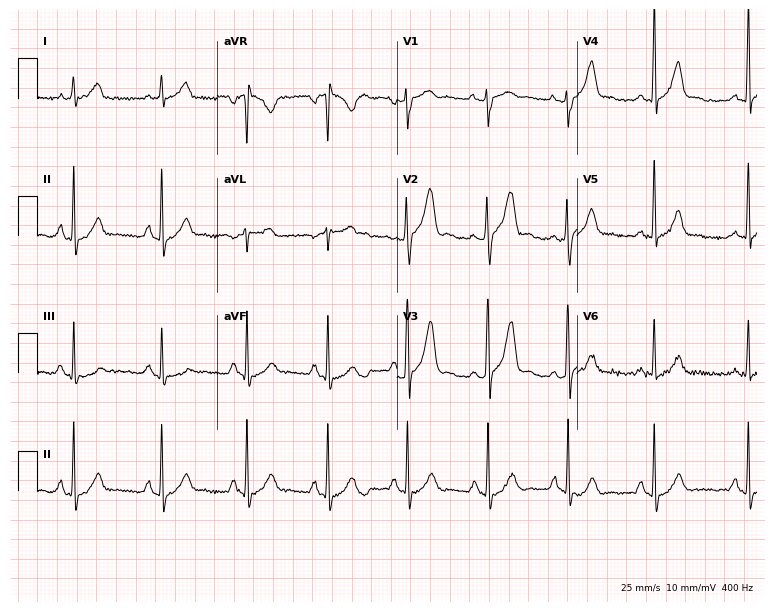
Standard 12-lead ECG recorded from a 32-year-old male patient. None of these six findings is recorded: first-degree AV block, right bundle branch block, left bundle branch block, sinus bradycardia, atrial fibrillation, sinus tachycardia. Other findings, if any, are not listed.